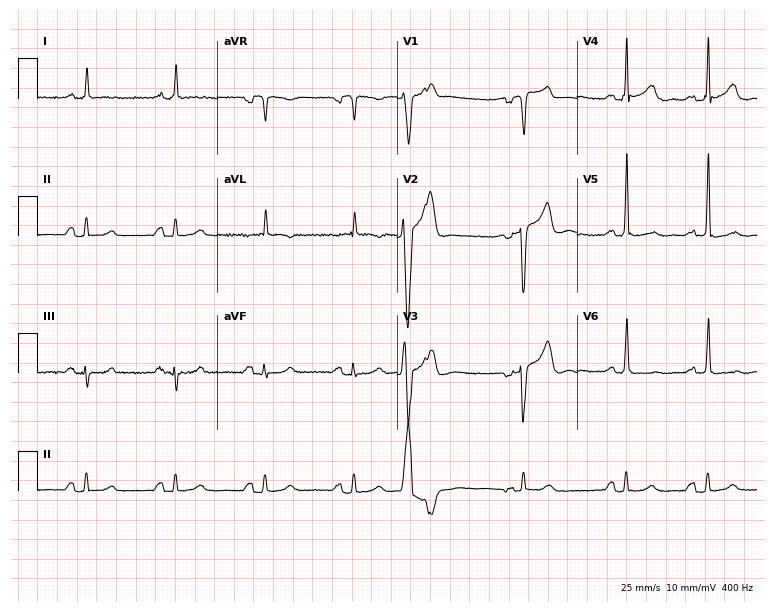
12-lead ECG from a male patient, 80 years old (7.3-second recording at 400 Hz). No first-degree AV block, right bundle branch block, left bundle branch block, sinus bradycardia, atrial fibrillation or sinus tachycardia recorded for this tracing. Other findings, if any, are not listed.